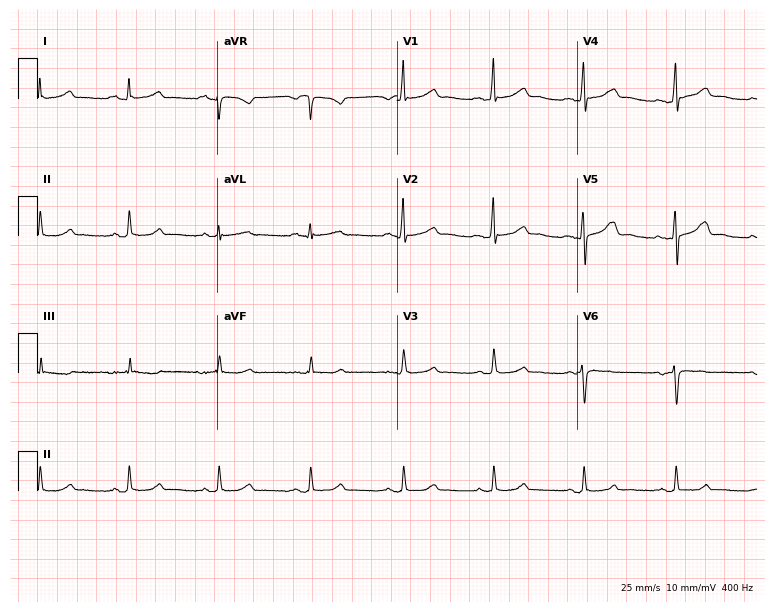
Resting 12-lead electrocardiogram (7.3-second recording at 400 Hz). Patient: a 55-year-old woman. None of these six findings is recorded: first-degree AV block, right bundle branch block (RBBB), left bundle branch block (LBBB), sinus bradycardia, atrial fibrillation (AF), sinus tachycardia. Other findings, if any, are not listed.